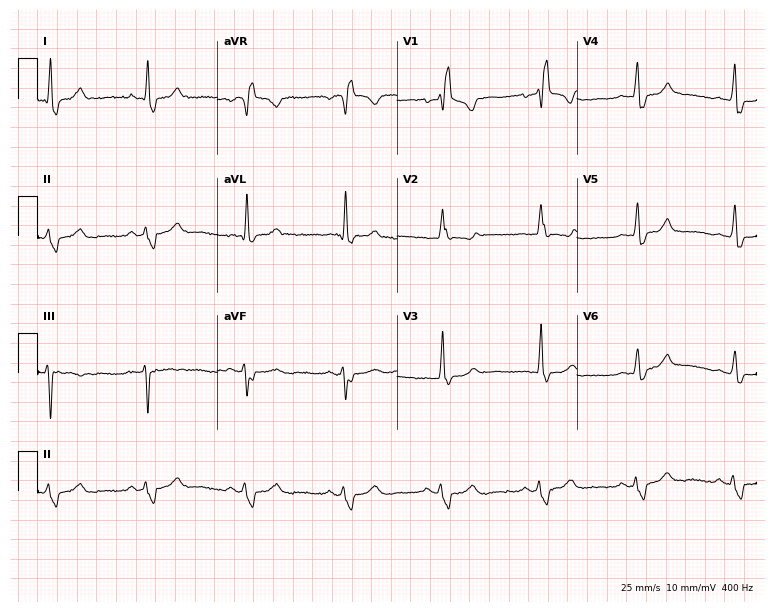
12-lead ECG from a woman, 56 years old. Shows right bundle branch block.